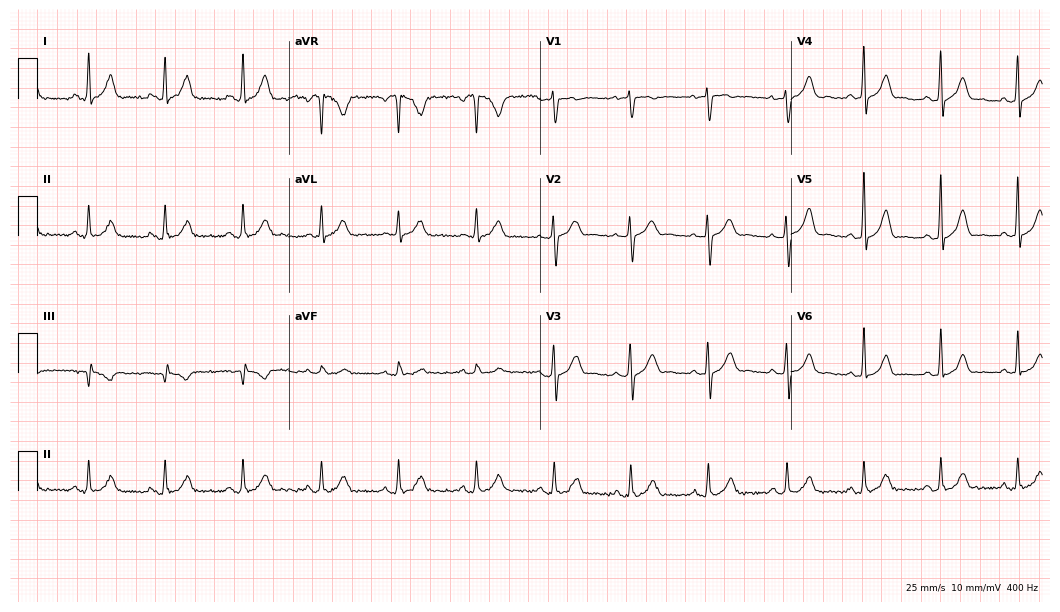
Electrocardiogram (10.2-second recording at 400 Hz), a female patient, 47 years old. Overall reading on record: normal ECG.